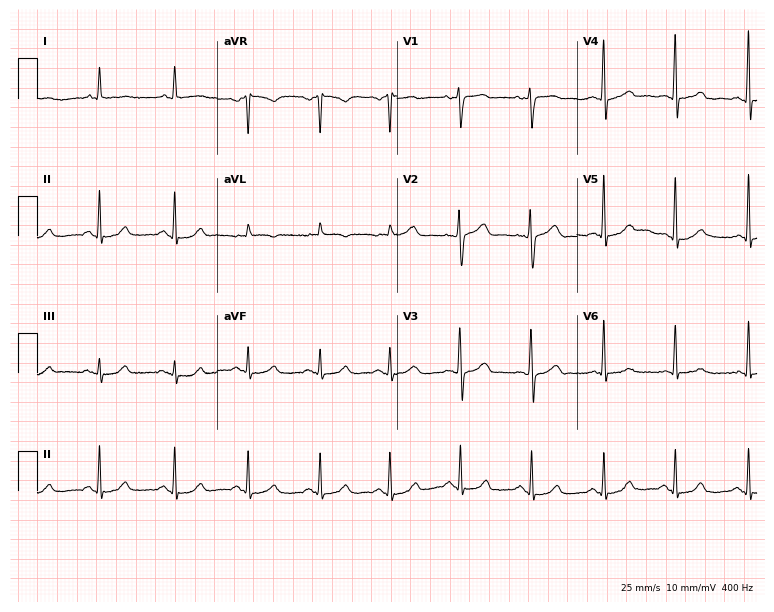
Resting 12-lead electrocardiogram (7.3-second recording at 400 Hz). Patient: a 49-year-old female. Read as a normal ECG.